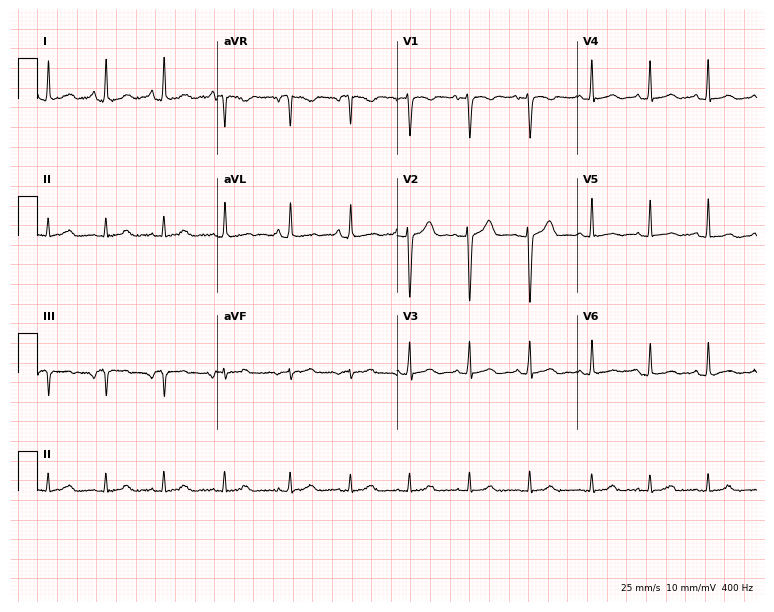
Electrocardiogram, a 24-year-old female. Of the six screened findings (first-degree AV block, right bundle branch block (RBBB), left bundle branch block (LBBB), sinus bradycardia, atrial fibrillation (AF), sinus tachycardia), none is recorded. Findings outside these six are not listed.